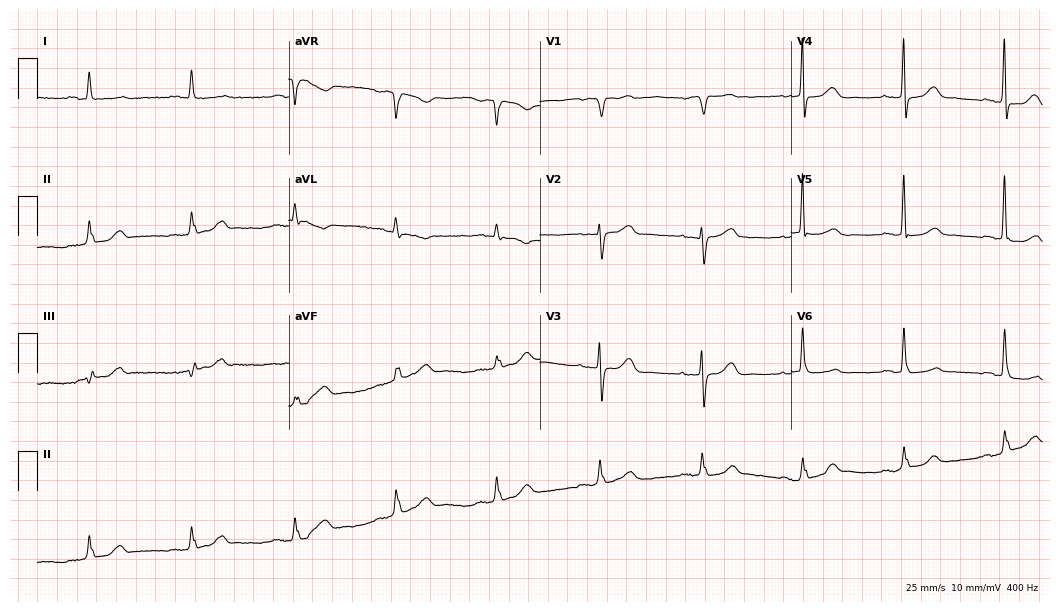
Resting 12-lead electrocardiogram (10.2-second recording at 400 Hz). Patient: a female, 84 years old. Read as a normal ECG.